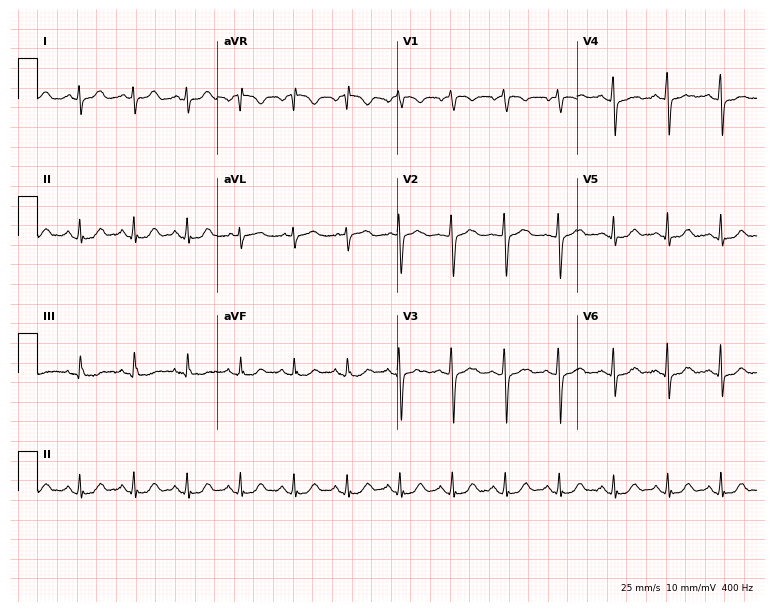
12-lead ECG from a 54-year-old female. Shows sinus tachycardia (a sinus rate of 100 beats per minute or more).